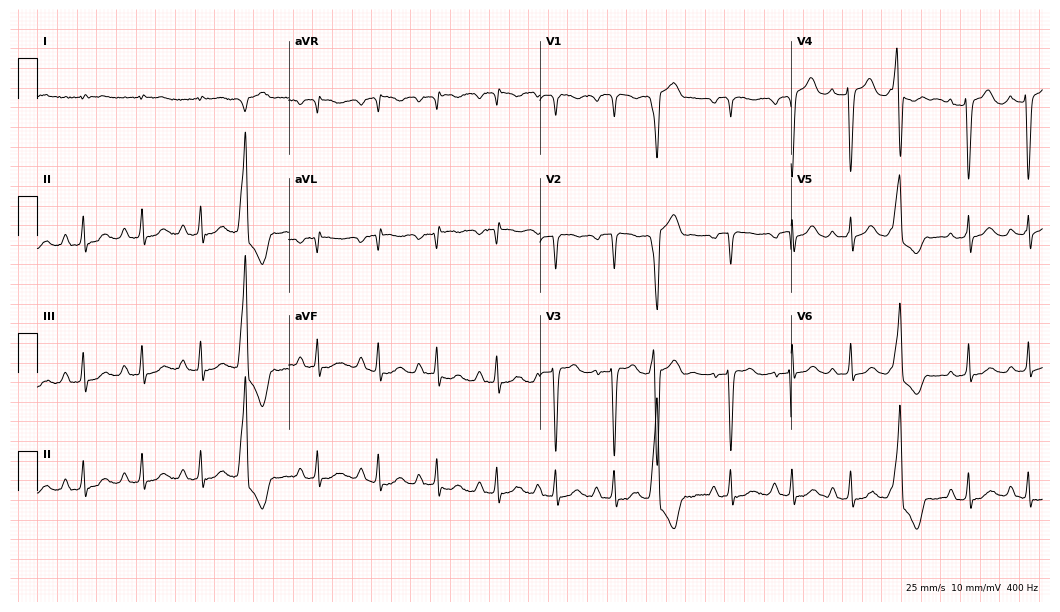
ECG — a 78-year-old male patient. Screened for six findings — first-degree AV block, right bundle branch block (RBBB), left bundle branch block (LBBB), sinus bradycardia, atrial fibrillation (AF), sinus tachycardia — none is recorded. Only these six findings were labelled.